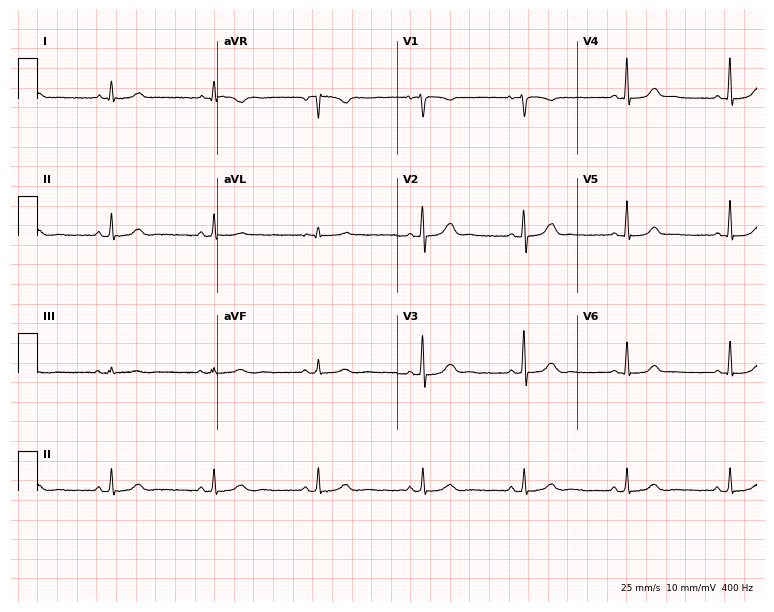
Standard 12-lead ECG recorded from a 45-year-old female patient. Read as a normal ECG.